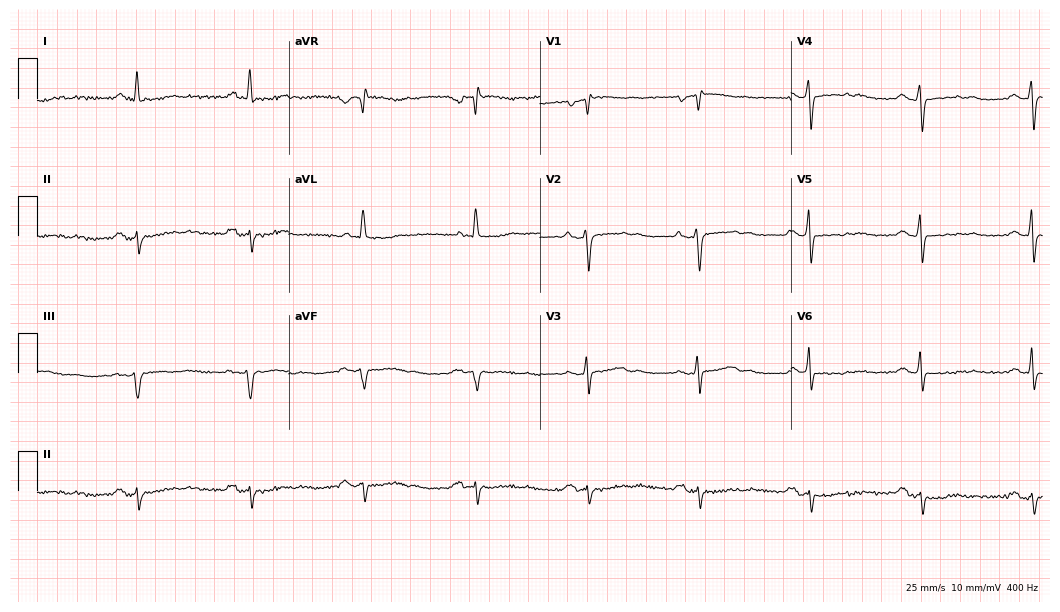
Resting 12-lead electrocardiogram. Patient: a female, 59 years old. None of these six findings is recorded: first-degree AV block, right bundle branch block, left bundle branch block, sinus bradycardia, atrial fibrillation, sinus tachycardia.